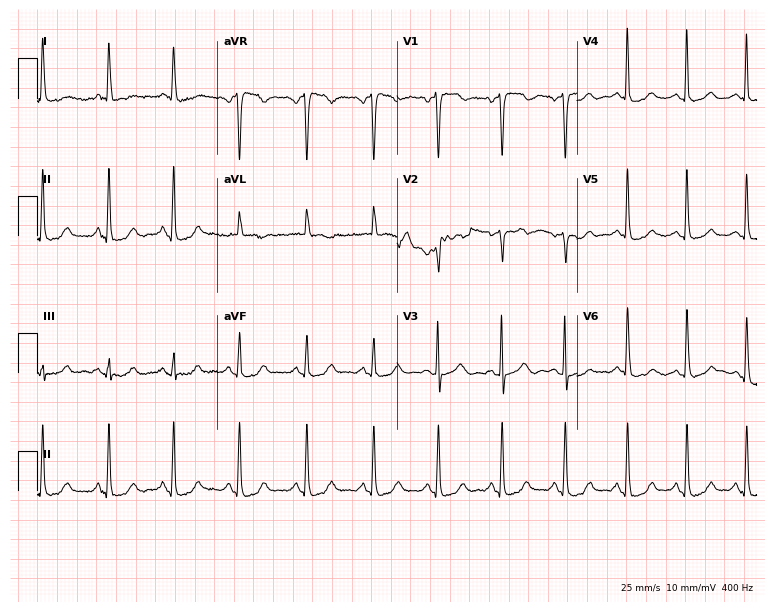
12-lead ECG from a woman, 61 years old (7.3-second recording at 400 Hz). Recorded interpretation: within normal limits.